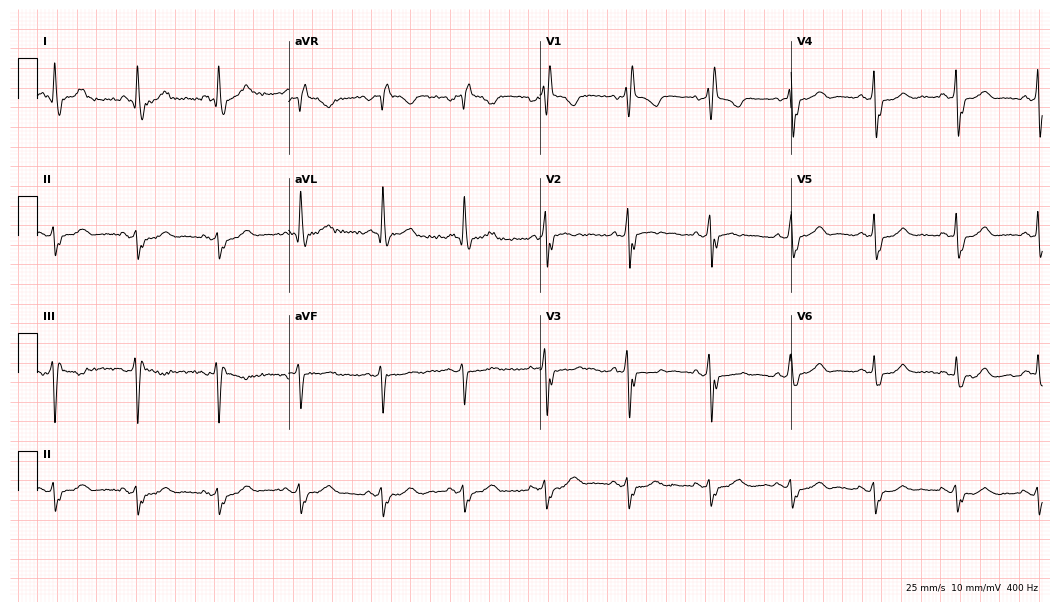
12-lead ECG from a male, 70 years old. Findings include right bundle branch block.